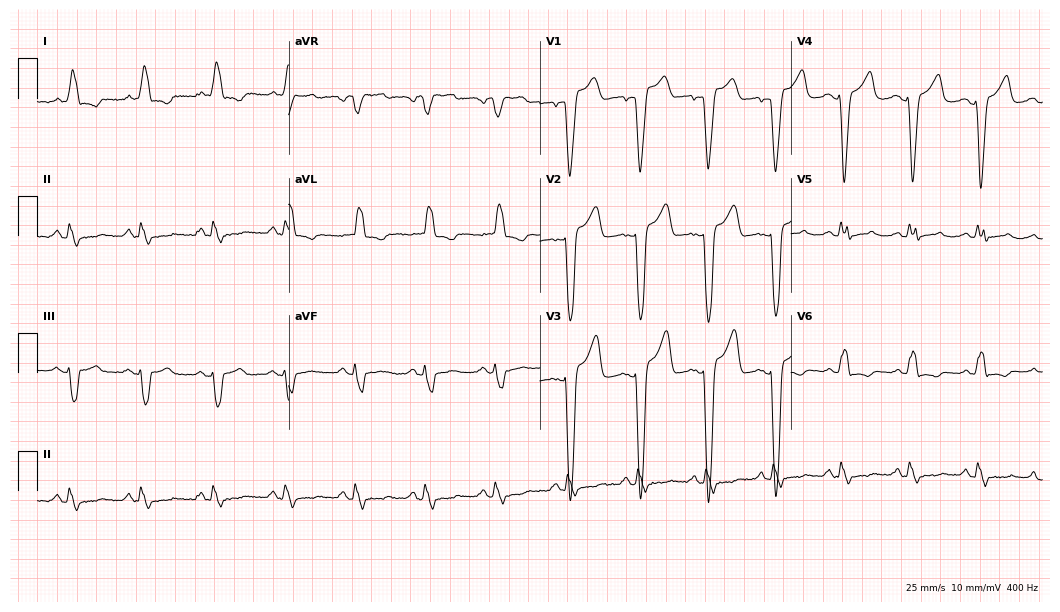
Electrocardiogram, a 64-year-old female patient. Interpretation includes left bundle branch block (LBBB).